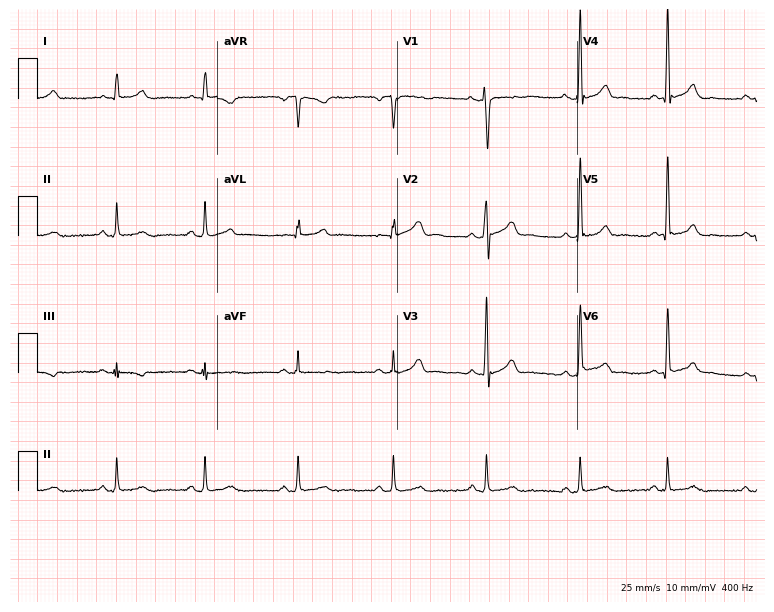
Standard 12-lead ECG recorded from a 35-year-old male (7.3-second recording at 400 Hz). None of these six findings is recorded: first-degree AV block, right bundle branch block (RBBB), left bundle branch block (LBBB), sinus bradycardia, atrial fibrillation (AF), sinus tachycardia.